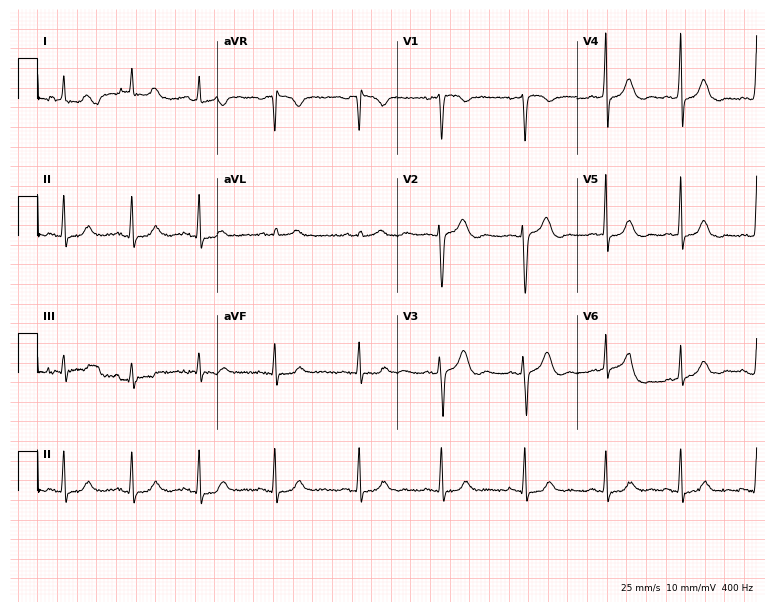
ECG (7.3-second recording at 400 Hz) — a 41-year-old woman. Labelled as a normal ECG.